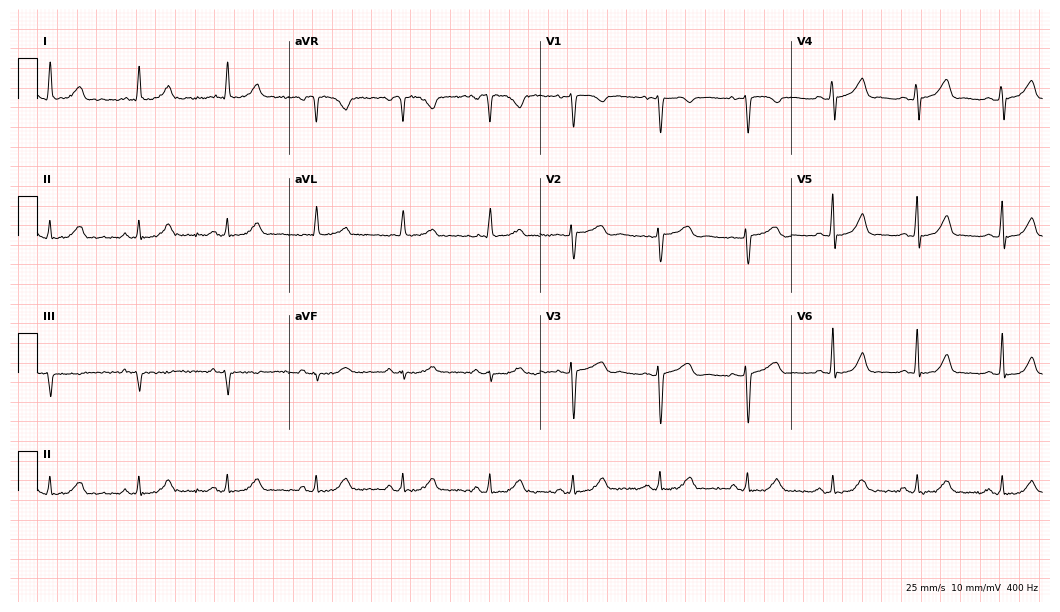
12-lead ECG from a 46-year-old woman (10.2-second recording at 400 Hz). Recorded interpretation: within normal limits.